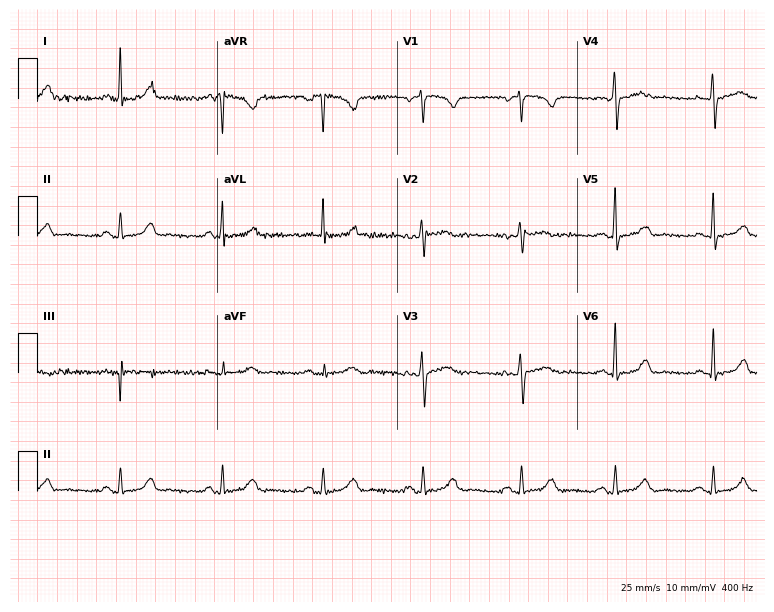
12-lead ECG from a 34-year-old woman (7.3-second recording at 400 Hz). Recorded interpretation: within normal limits.